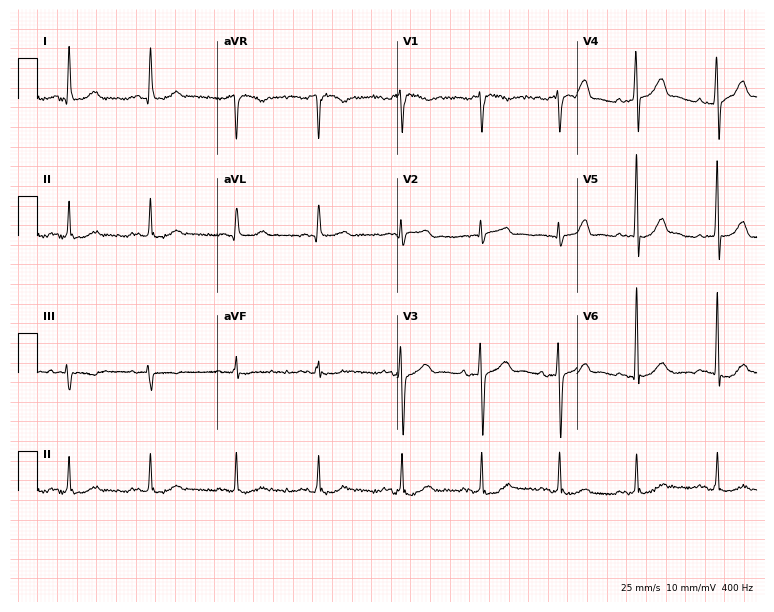
ECG — a man, 63 years old. Labelled as a normal ECG.